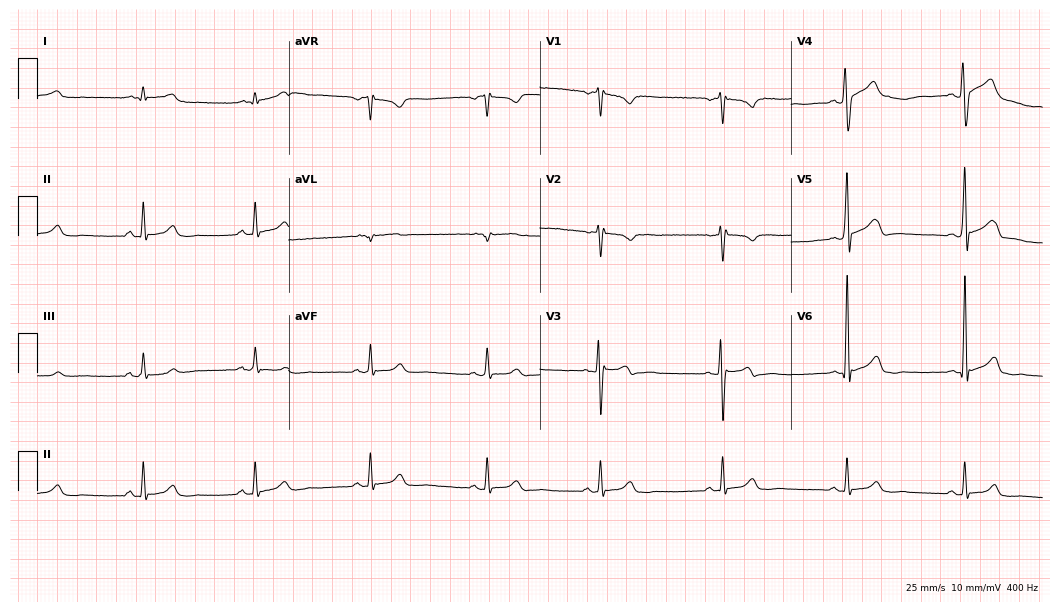
Standard 12-lead ECG recorded from a 35-year-old man (10.2-second recording at 400 Hz). The tracing shows sinus bradycardia (a sinus rate of 50 beats per minute or less).